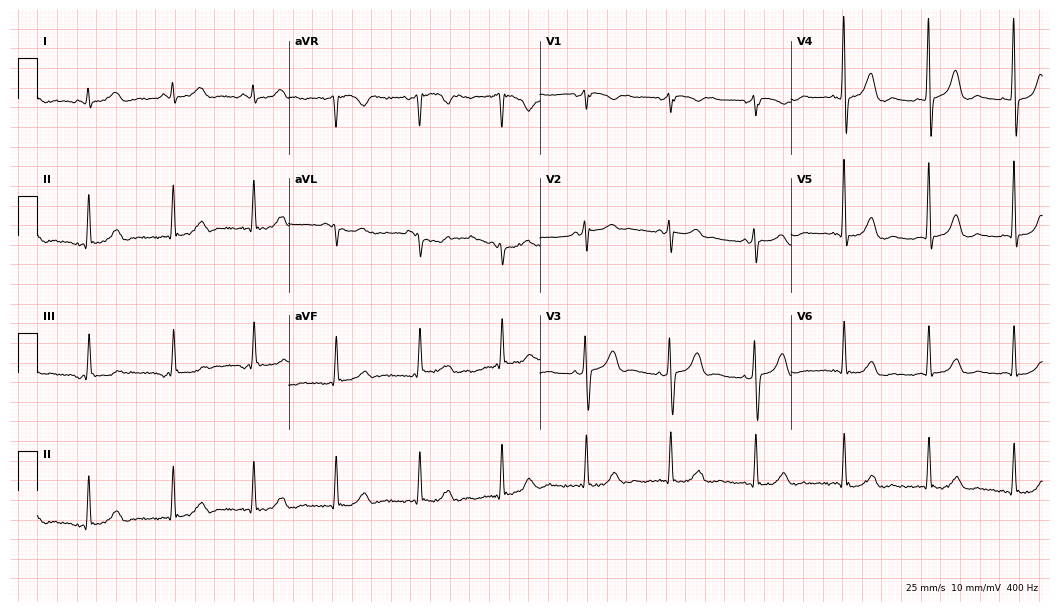
Standard 12-lead ECG recorded from an 82-year-old female patient. Read as a normal ECG.